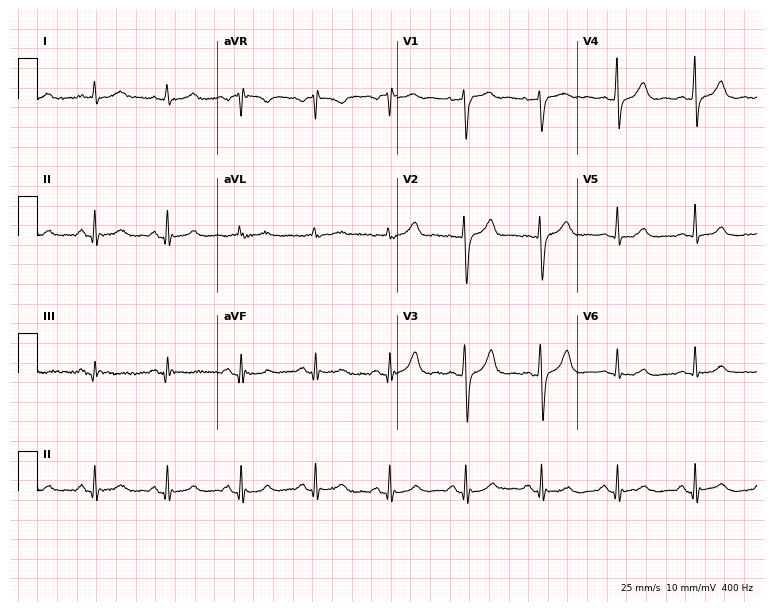
ECG (7.3-second recording at 400 Hz) — a 66-year-old male. Screened for six findings — first-degree AV block, right bundle branch block, left bundle branch block, sinus bradycardia, atrial fibrillation, sinus tachycardia — none is recorded. Findings outside these six are not listed.